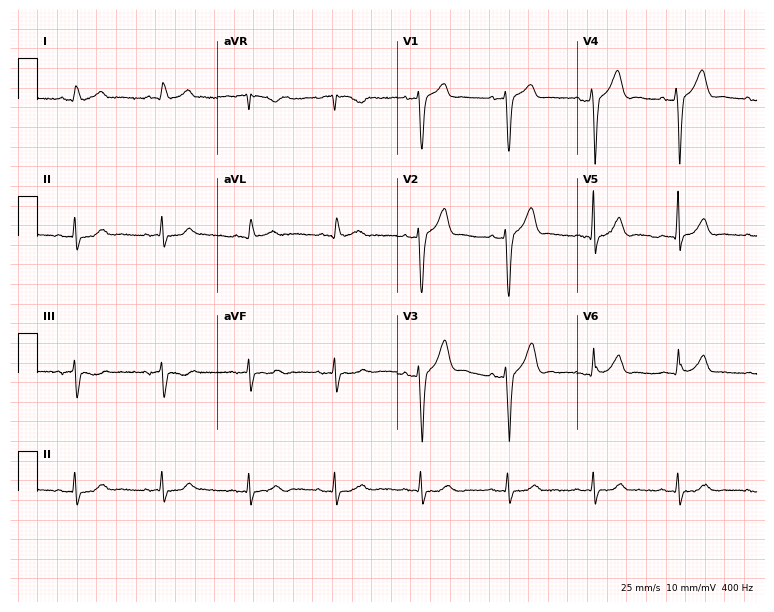
12-lead ECG (7.3-second recording at 400 Hz) from a 63-year-old male. Screened for six findings — first-degree AV block, right bundle branch block, left bundle branch block, sinus bradycardia, atrial fibrillation, sinus tachycardia — none is recorded. Other findings, if any, are not listed.